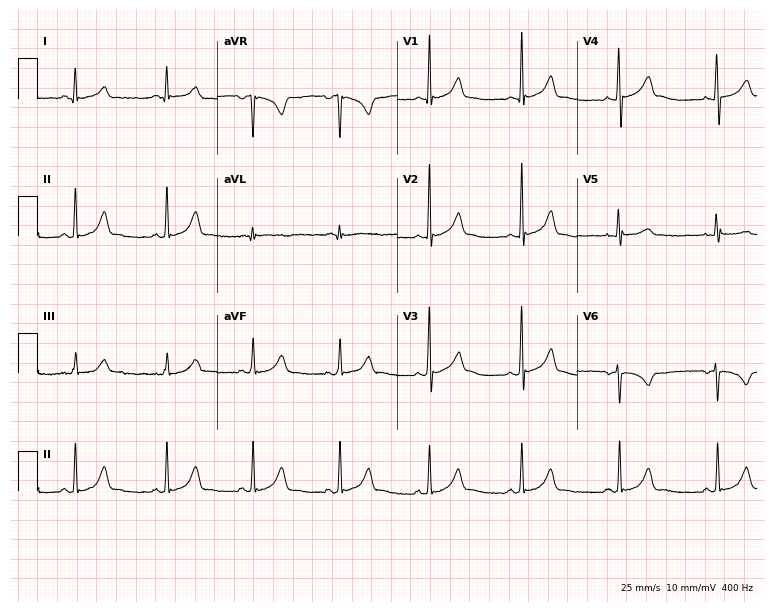
Resting 12-lead electrocardiogram. Patient: a female, 33 years old. None of these six findings is recorded: first-degree AV block, right bundle branch block, left bundle branch block, sinus bradycardia, atrial fibrillation, sinus tachycardia.